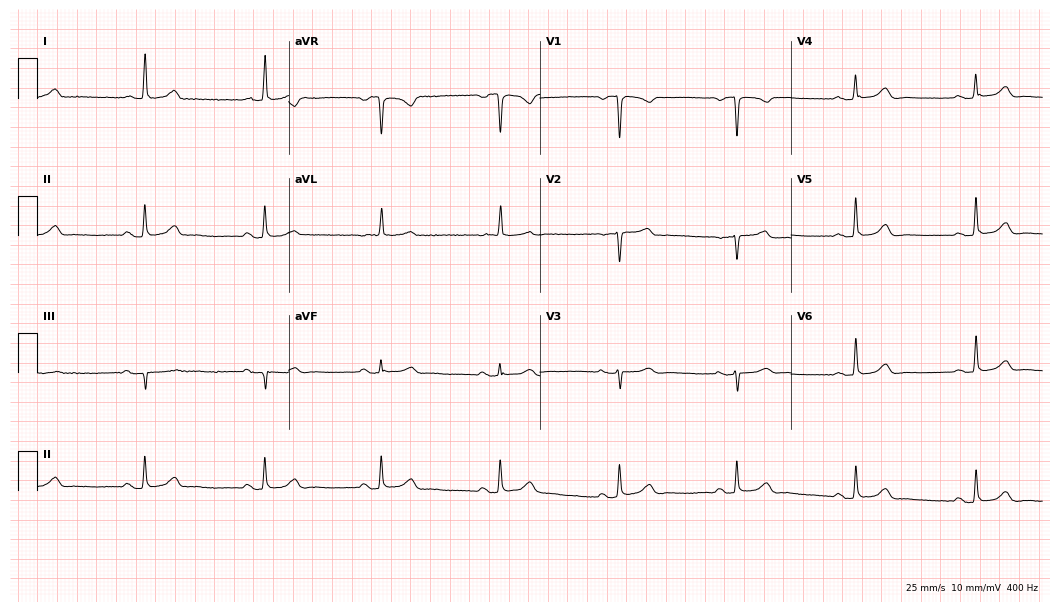
Electrocardiogram, a female patient, 71 years old. Interpretation includes sinus bradycardia (a sinus rate of 50 beats per minute or less).